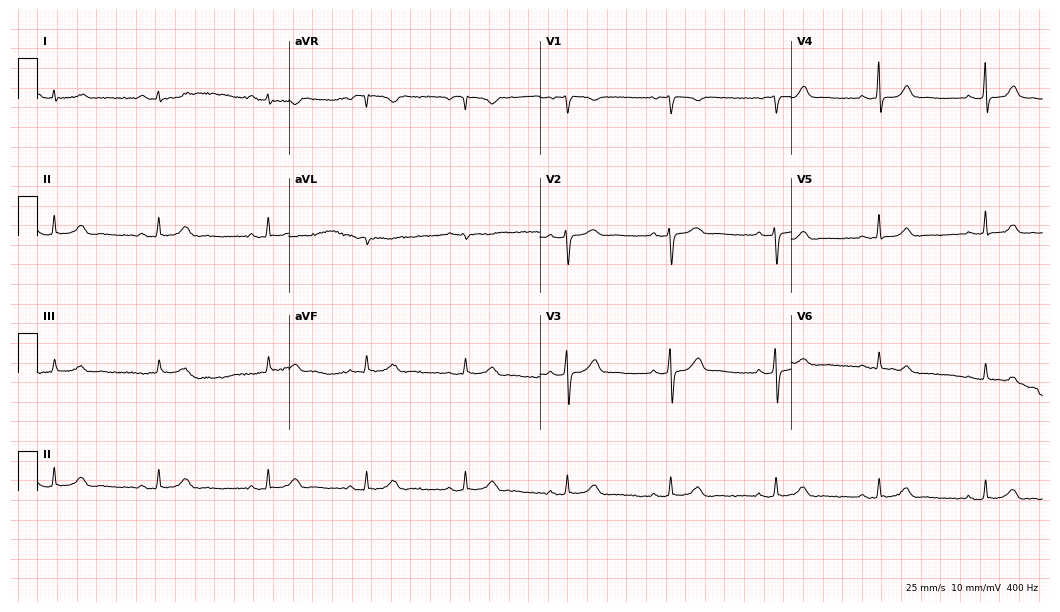
Electrocardiogram (10.2-second recording at 400 Hz), a woman, 36 years old. Overall reading on record: normal ECG.